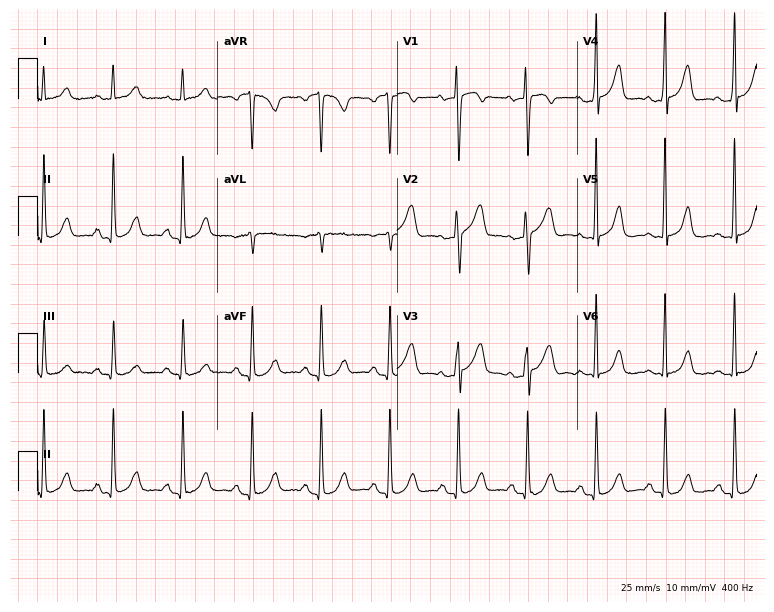
Electrocardiogram (7.3-second recording at 400 Hz), a 61-year-old woman. Overall reading on record: normal ECG.